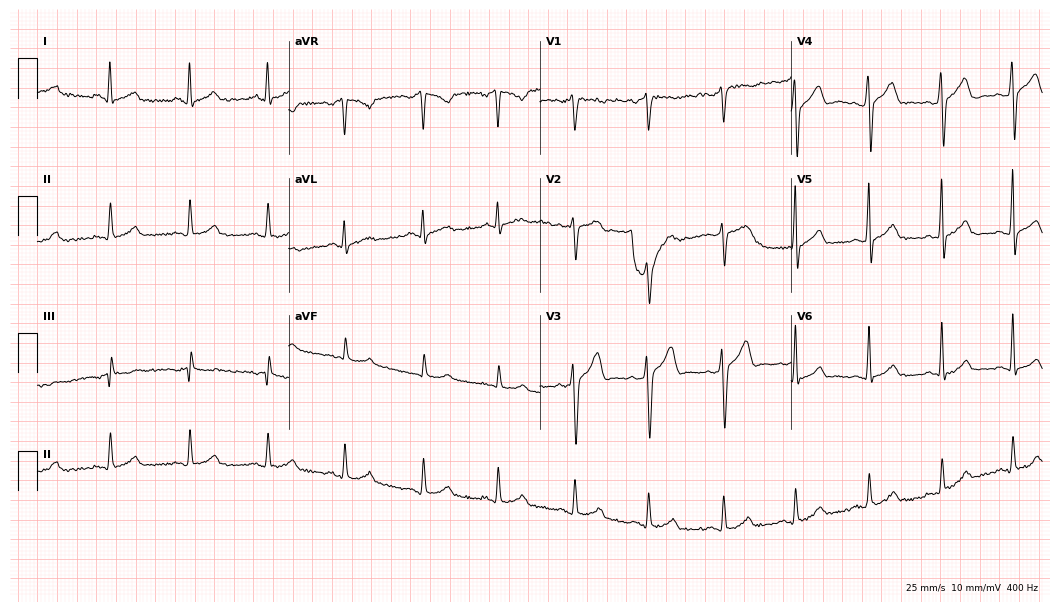
Standard 12-lead ECG recorded from a male, 33 years old (10.2-second recording at 400 Hz). Read as a normal ECG.